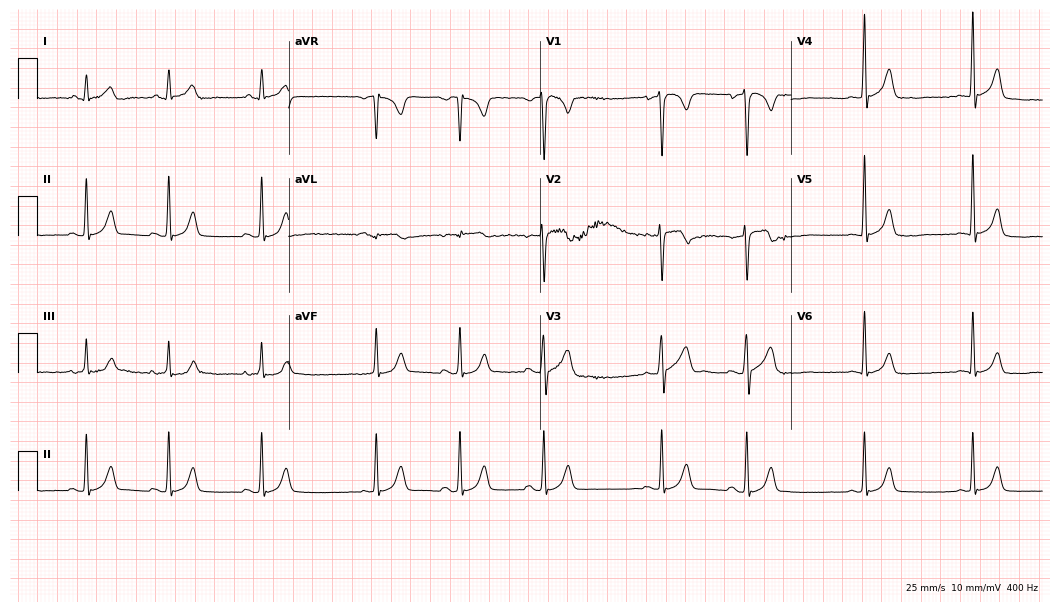
Resting 12-lead electrocardiogram. Patient: a male, 20 years old. Read as a normal ECG.